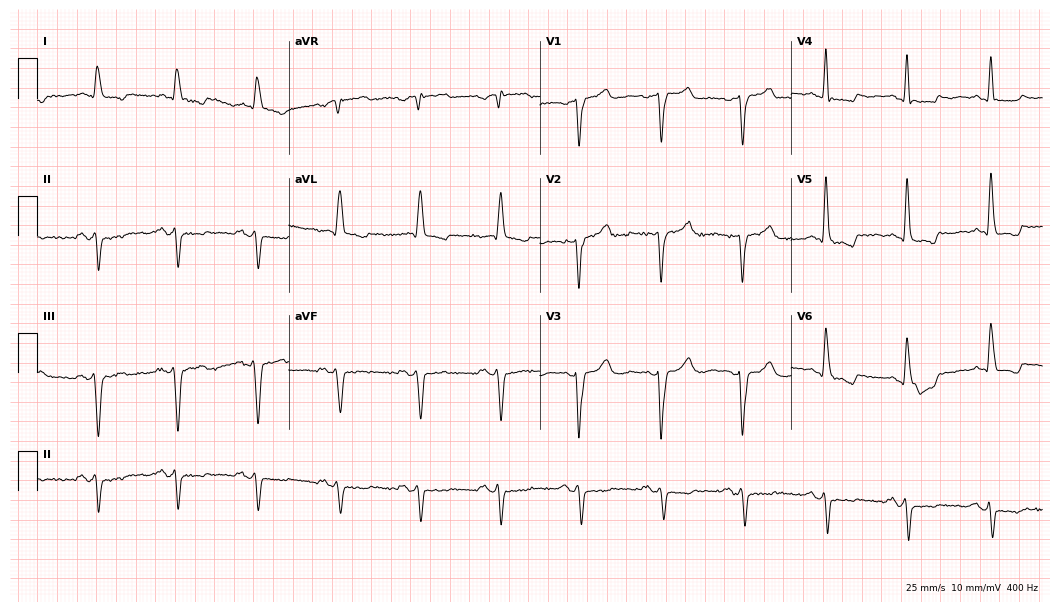
Resting 12-lead electrocardiogram (10.2-second recording at 400 Hz). Patient: a male, 77 years old. None of these six findings is recorded: first-degree AV block, right bundle branch block, left bundle branch block, sinus bradycardia, atrial fibrillation, sinus tachycardia. Findings outside these six are not listed.